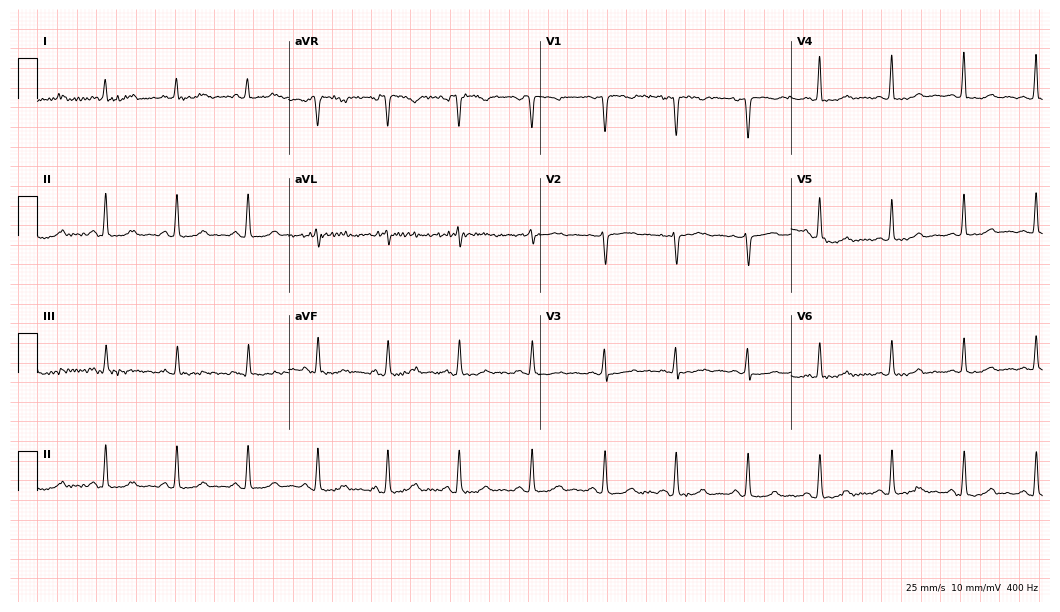
Standard 12-lead ECG recorded from a 53-year-old female. None of these six findings is recorded: first-degree AV block, right bundle branch block, left bundle branch block, sinus bradycardia, atrial fibrillation, sinus tachycardia. Findings outside these six are not listed.